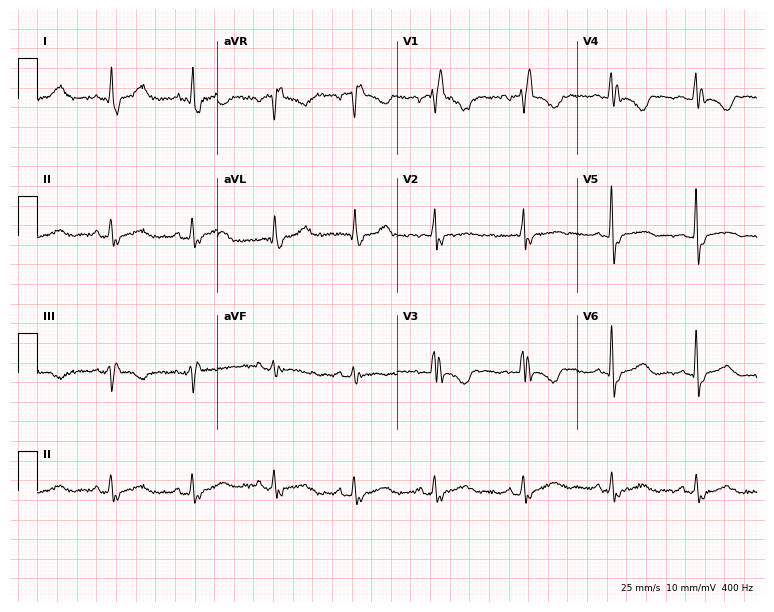
Standard 12-lead ECG recorded from a woman, 54 years old (7.3-second recording at 400 Hz). None of these six findings is recorded: first-degree AV block, right bundle branch block, left bundle branch block, sinus bradycardia, atrial fibrillation, sinus tachycardia.